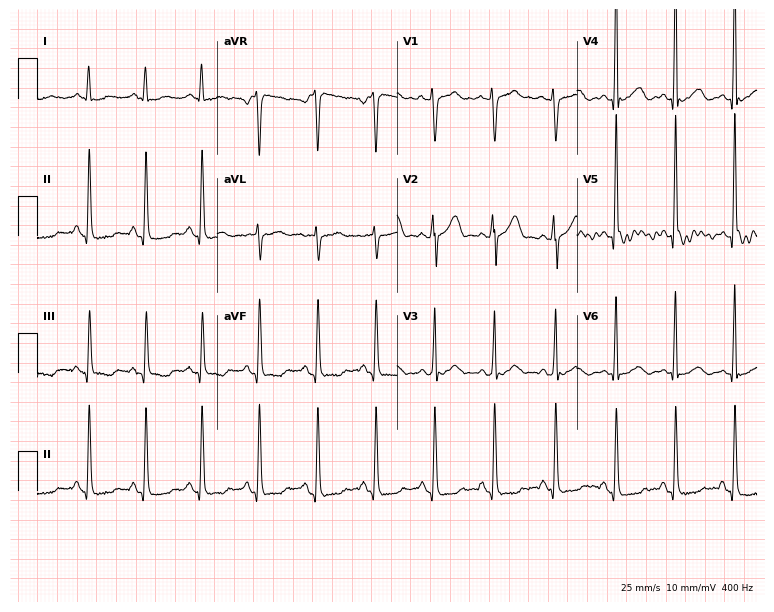
12-lead ECG from a 46-year-old man. Findings include sinus tachycardia (a sinus rate of 100 beats per minute or more).